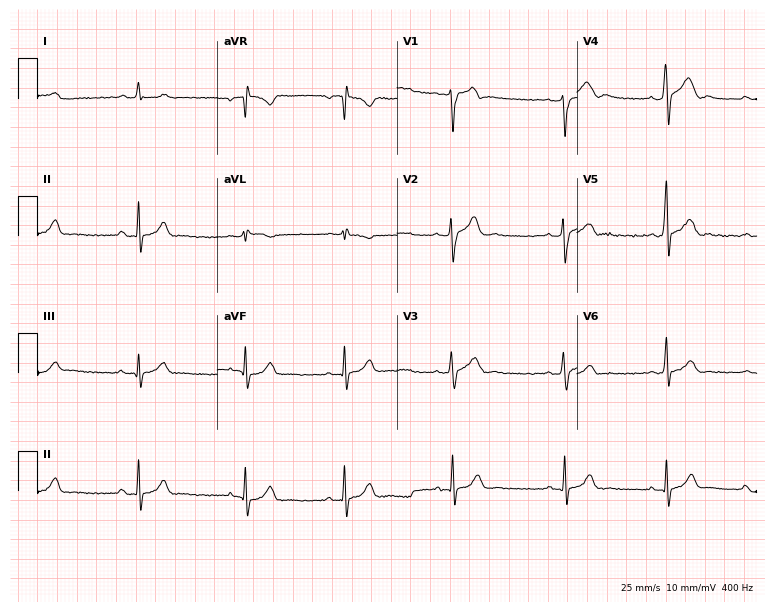
Resting 12-lead electrocardiogram (7.3-second recording at 400 Hz). Patient: a 20-year-old male. None of these six findings is recorded: first-degree AV block, right bundle branch block, left bundle branch block, sinus bradycardia, atrial fibrillation, sinus tachycardia. Other findings, if any, are not listed.